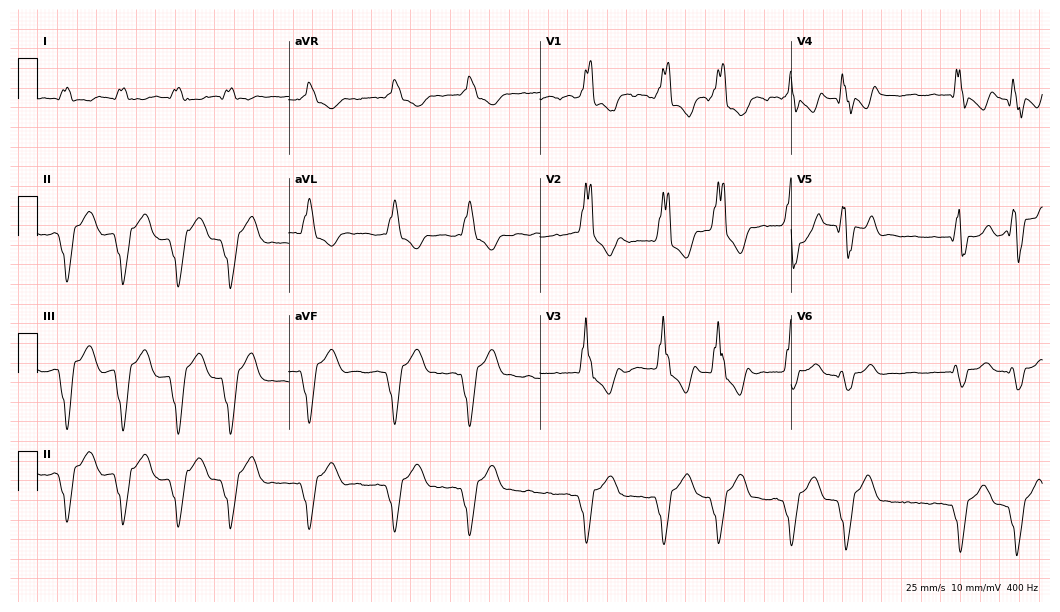
Resting 12-lead electrocardiogram (10.2-second recording at 400 Hz). Patient: a man, 75 years old. The tracing shows right bundle branch block, left bundle branch block, atrial fibrillation.